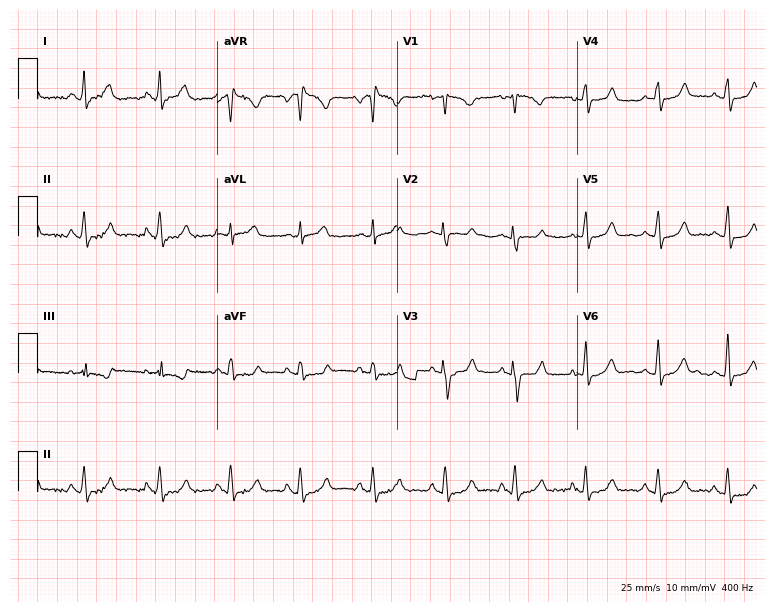
Electrocardiogram, a female, 17 years old. Overall reading on record: normal ECG.